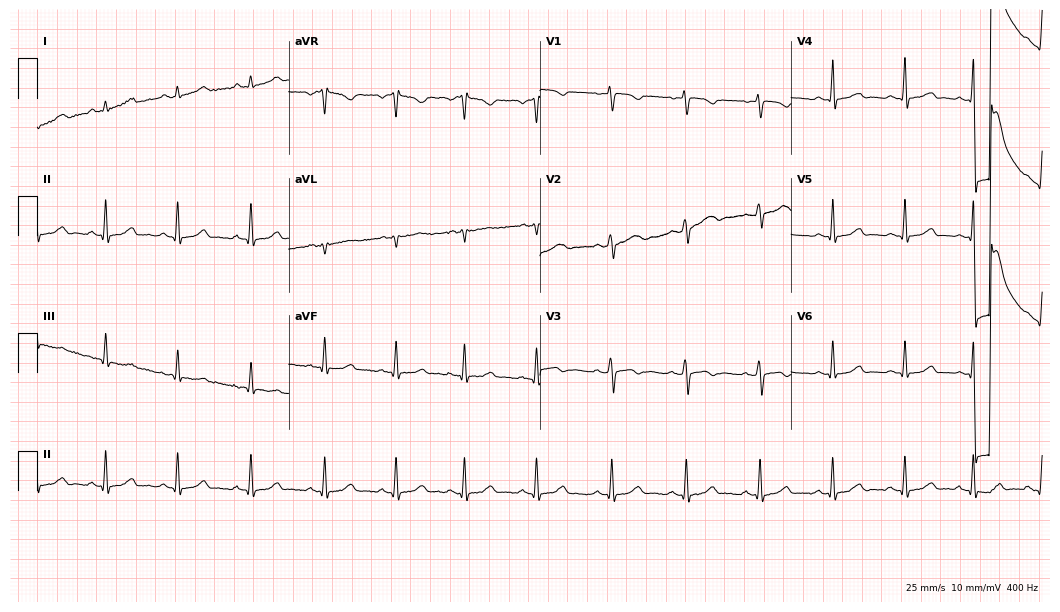
12-lead ECG from a 21-year-old female patient. Labelled as a normal ECG.